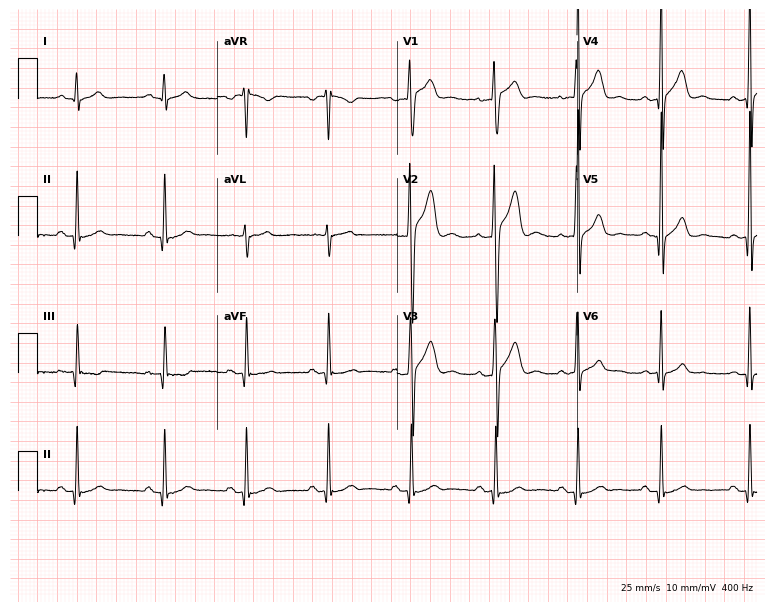
Electrocardiogram, a 28-year-old male patient. Of the six screened findings (first-degree AV block, right bundle branch block, left bundle branch block, sinus bradycardia, atrial fibrillation, sinus tachycardia), none is recorded. Other findings, if any, are not listed.